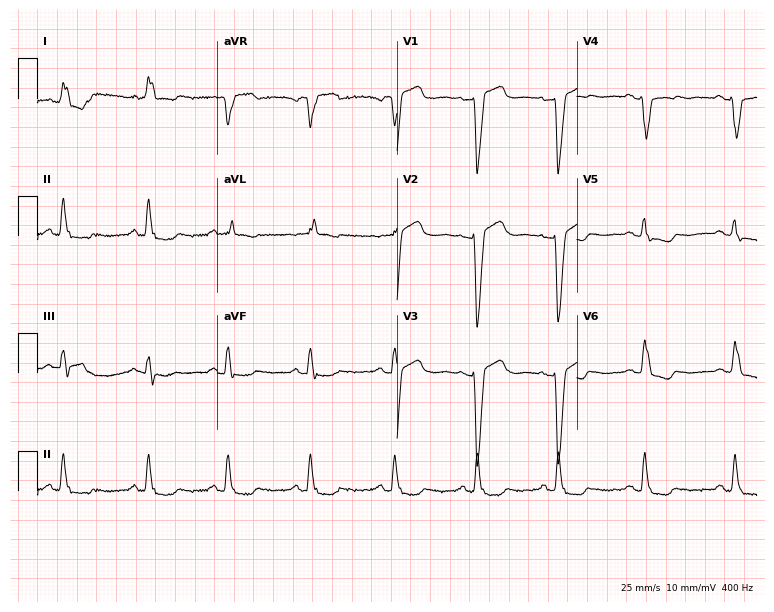
Standard 12-lead ECG recorded from a 70-year-old woman. The tracing shows left bundle branch block.